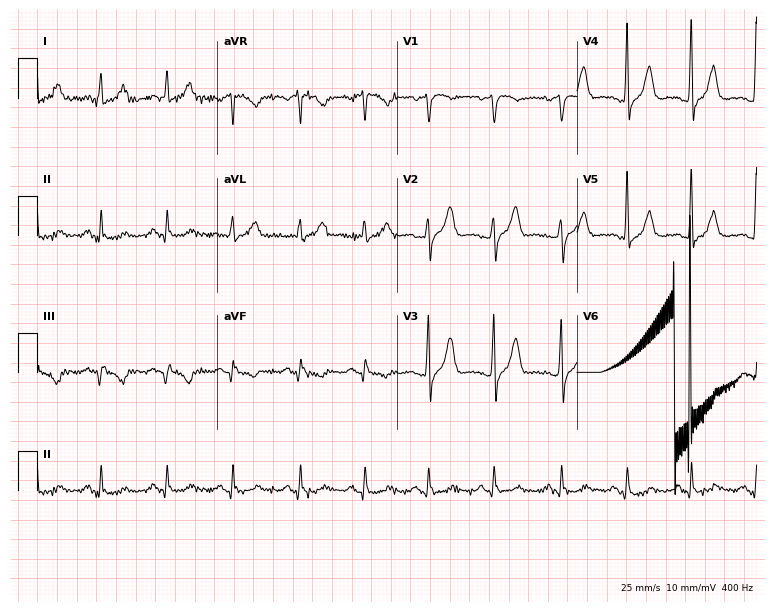
Electrocardiogram (7.3-second recording at 400 Hz), a man, 60 years old. Overall reading on record: normal ECG.